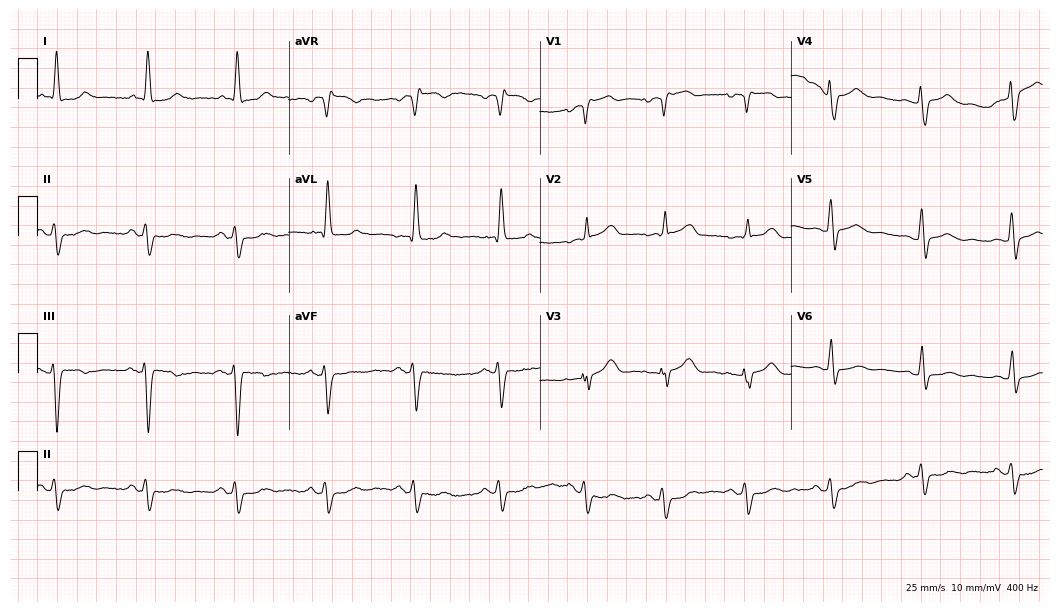
ECG (10.2-second recording at 400 Hz) — a female, 82 years old. Screened for six findings — first-degree AV block, right bundle branch block, left bundle branch block, sinus bradycardia, atrial fibrillation, sinus tachycardia — none is recorded. Findings outside these six are not listed.